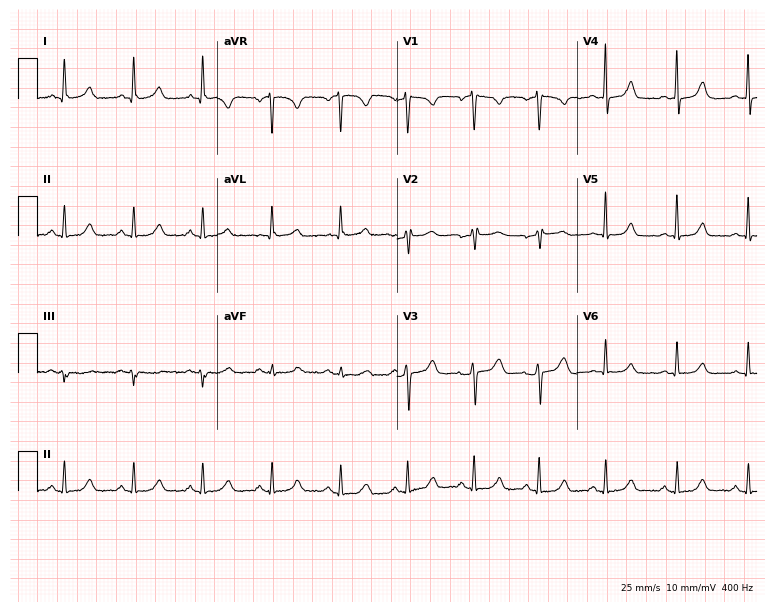
12-lead ECG from a 40-year-old female (7.3-second recording at 400 Hz). No first-degree AV block, right bundle branch block, left bundle branch block, sinus bradycardia, atrial fibrillation or sinus tachycardia recorded for this tracing.